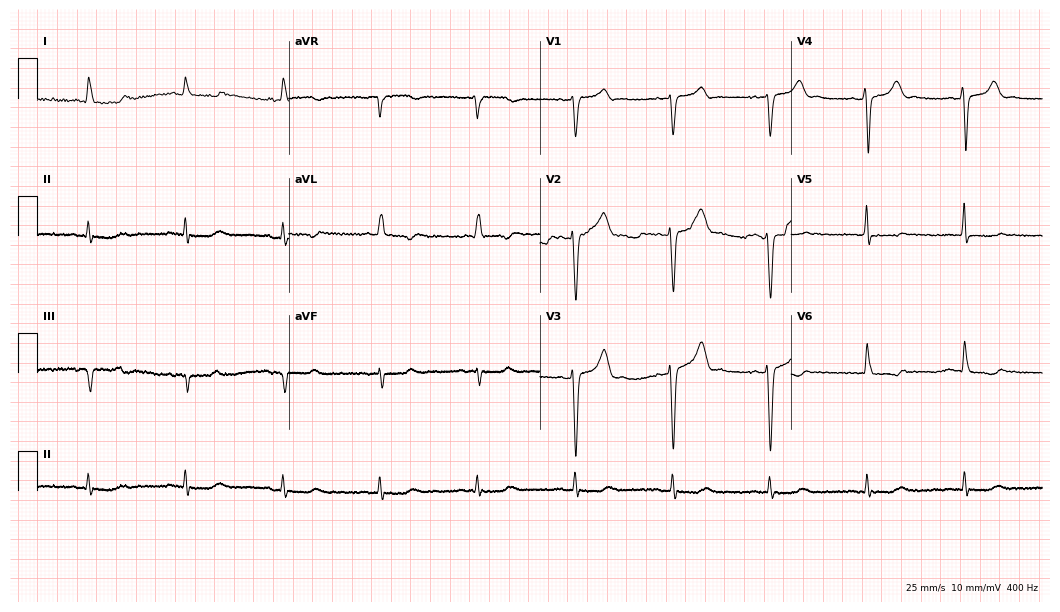
Electrocardiogram, a 75-year-old male. Of the six screened findings (first-degree AV block, right bundle branch block (RBBB), left bundle branch block (LBBB), sinus bradycardia, atrial fibrillation (AF), sinus tachycardia), none is recorded.